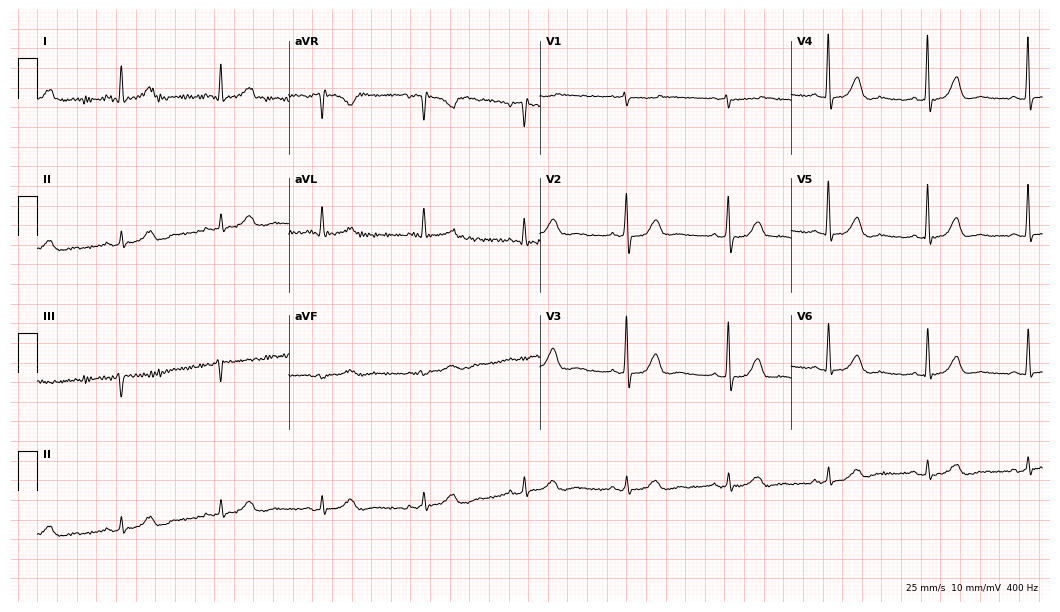
12-lead ECG from a female patient, 73 years old. Labelled as a normal ECG.